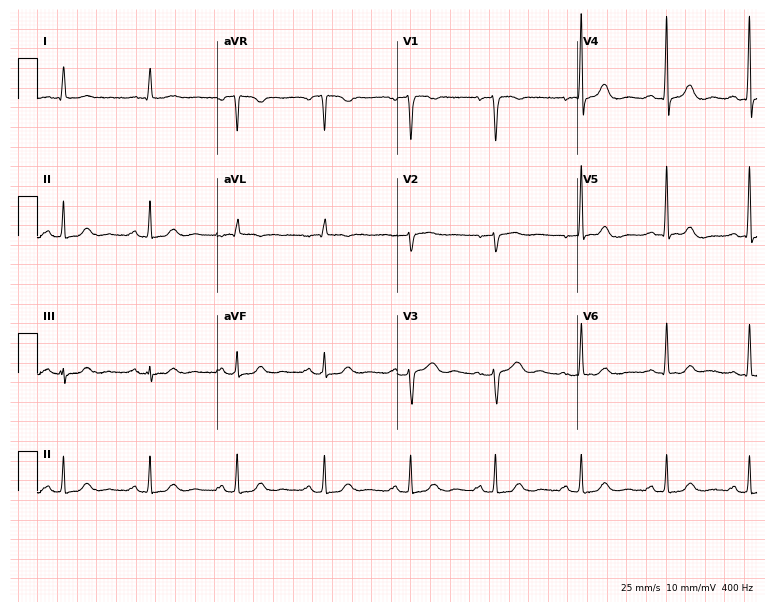
Resting 12-lead electrocardiogram (7.3-second recording at 400 Hz). Patient: an 84-year-old female. Read as a normal ECG.